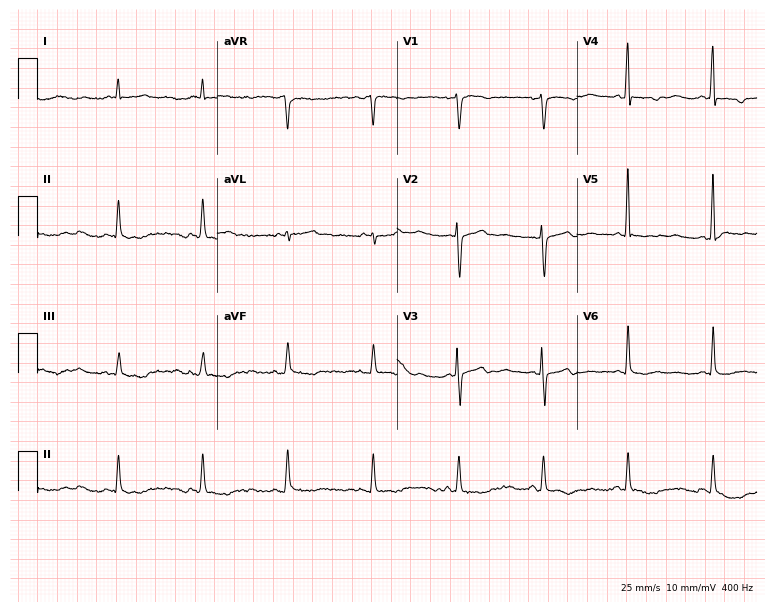
12-lead ECG from a female, 49 years old (7.3-second recording at 400 Hz). No first-degree AV block, right bundle branch block, left bundle branch block, sinus bradycardia, atrial fibrillation or sinus tachycardia recorded for this tracing. Other findings, if any, are not listed.